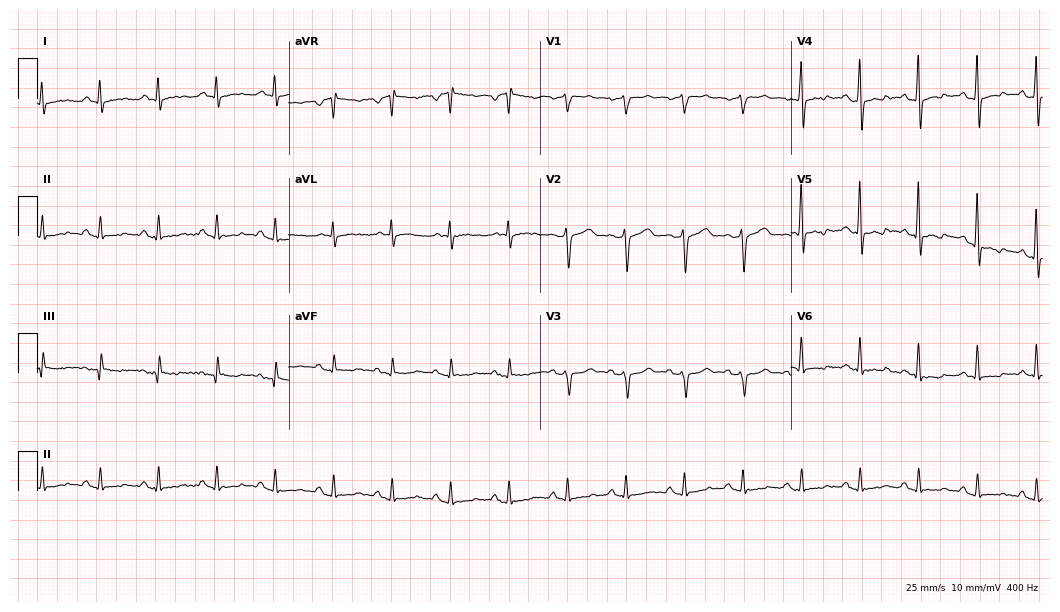
12-lead ECG from a 64-year-old male. Shows sinus tachycardia (a sinus rate of 100 beats per minute or more).